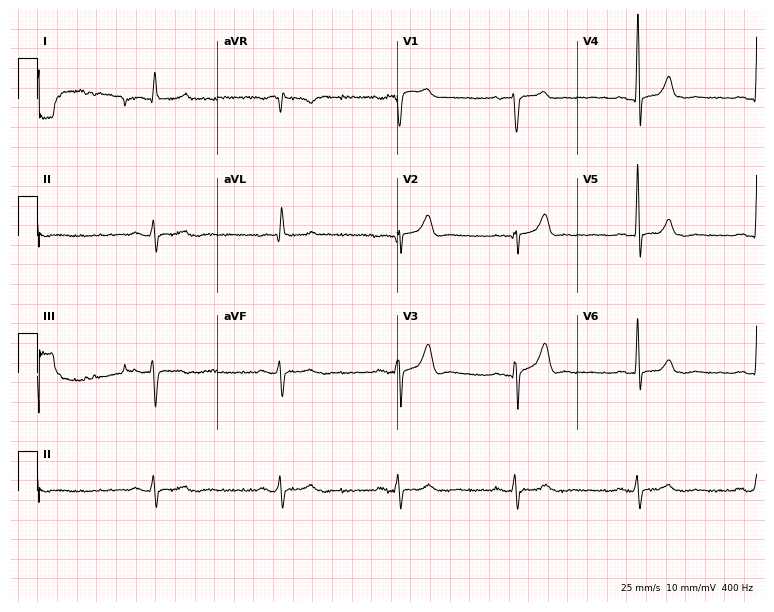
Resting 12-lead electrocardiogram (7.3-second recording at 400 Hz). Patient: an 83-year-old man. The tracing shows first-degree AV block, sinus bradycardia (a sinus rate of 50 beats per minute or less).